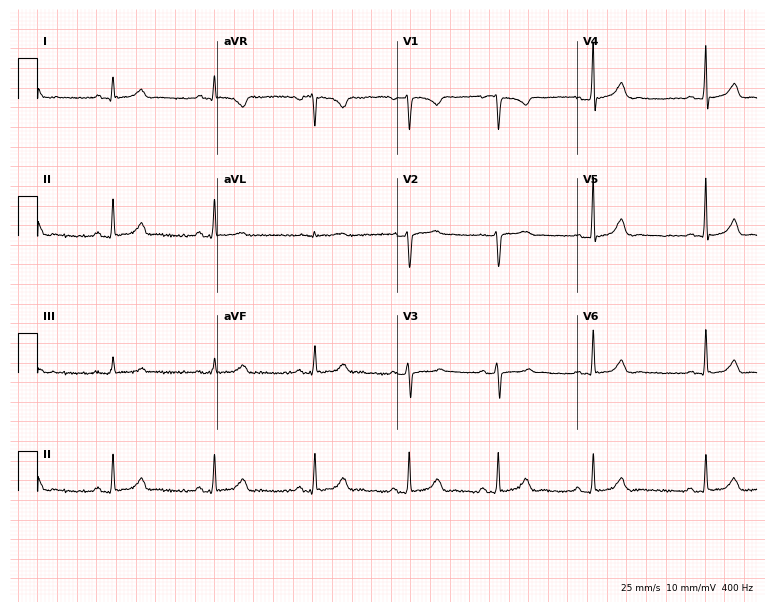
Standard 12-lead ECG recorded from a 32-year-old woman (7.3-second recording at 400 Hz). Read as a normal ECG.